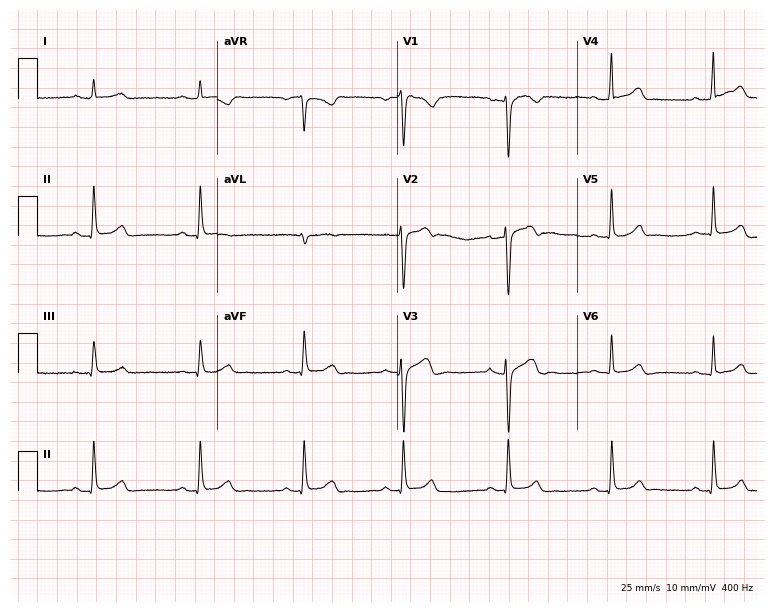
12-lead ECG from a 32-year-old male patient. Labelled as a normal ECG.